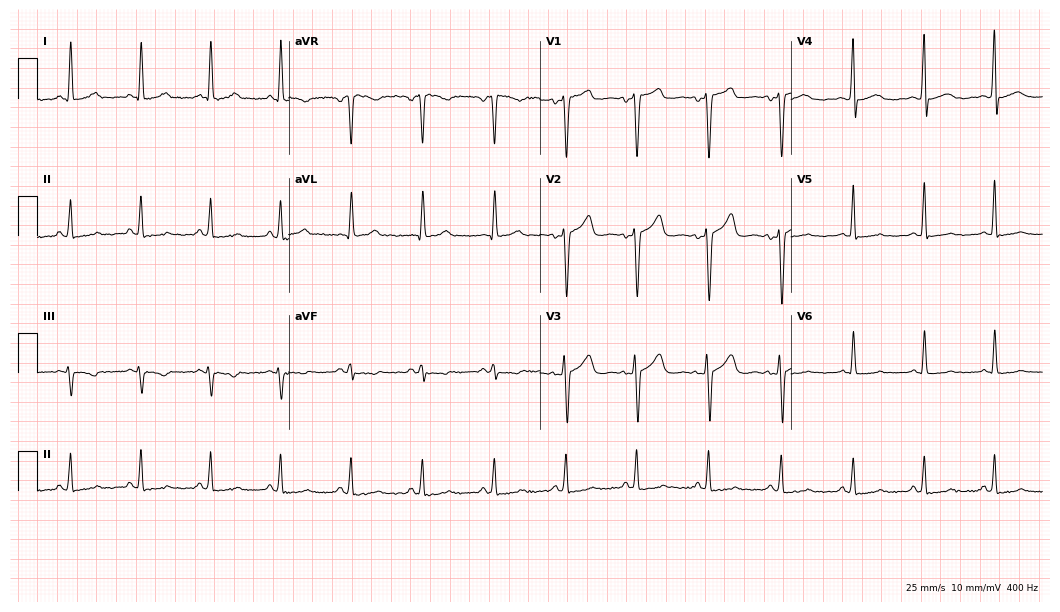
12-lead ECG from a 43-year-old male patient. No first-degree AV block, right bundle branch block (RBBB), left bundle branch block (LBBB), sinus bradycardia, atrial fibrillation (AF) or sinus tachycardia recorded for this tracing. Other findings, if any, are not listed.